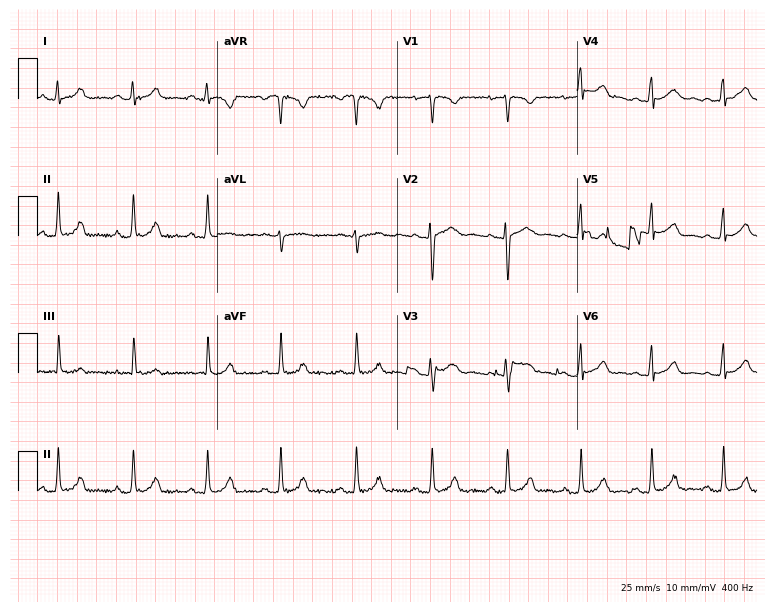
Resting 12-lead electrocardiogram. Patient: a woman, 23 years old. Read as a normal ECG.